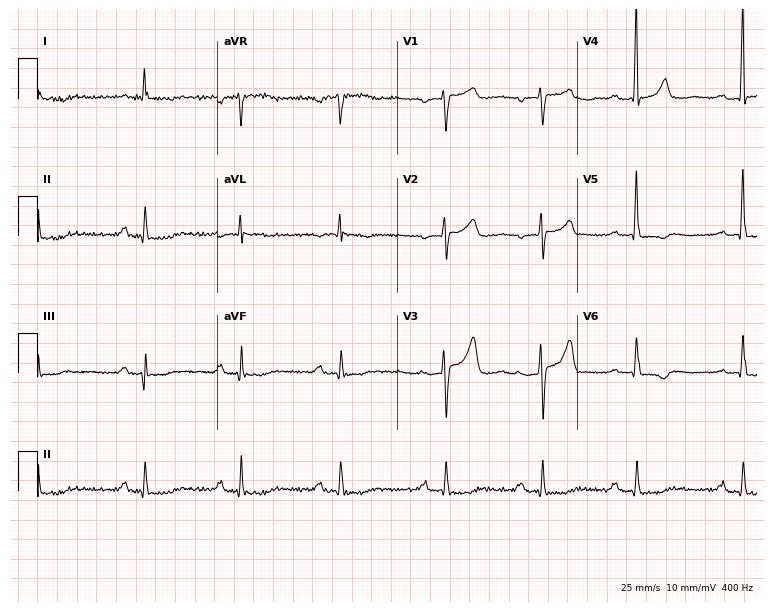
Standard 12-lead ECG recorded from a woman, 73 years old. The tracing shows first-degree AV block.